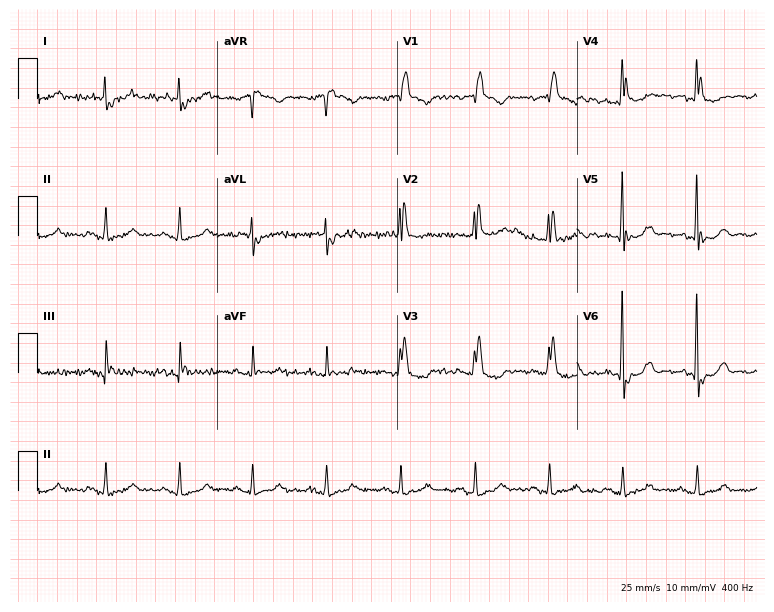
Resting 12-lead electrocardiogram (7.3-second recording at 400 Hz). Patient: a 75-year-old male. The tracing shows right bundle branch block (RBBB).